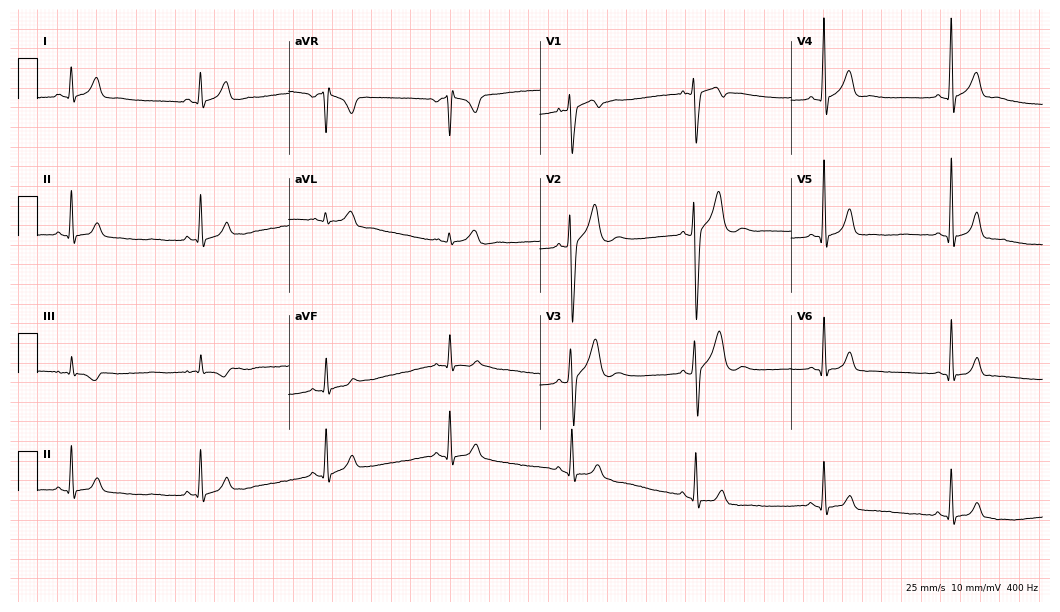
Standard 12-lead ECG recorded from a 19-year-old man (10.2-second recording at 400 Hz). The tracing shows sinus bradycardia (a sinus rate of 50 beats per minute or less).